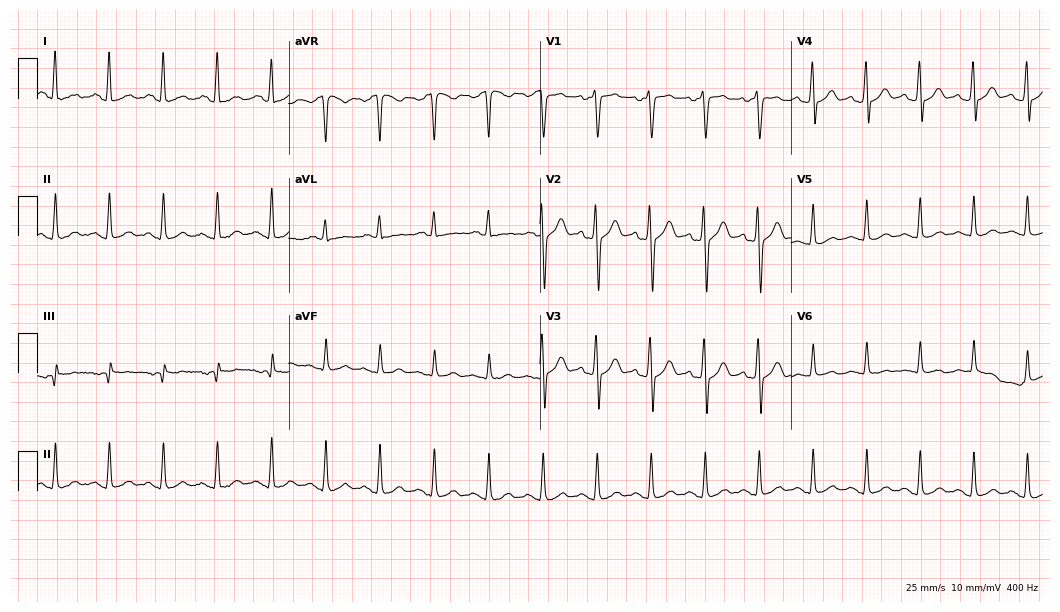
Resting 12-lead electrocardiogram. Patient: a 38-year-old man. The tracing shows sinus tachycardia (a sinus rate of 100 beats per minute or more).